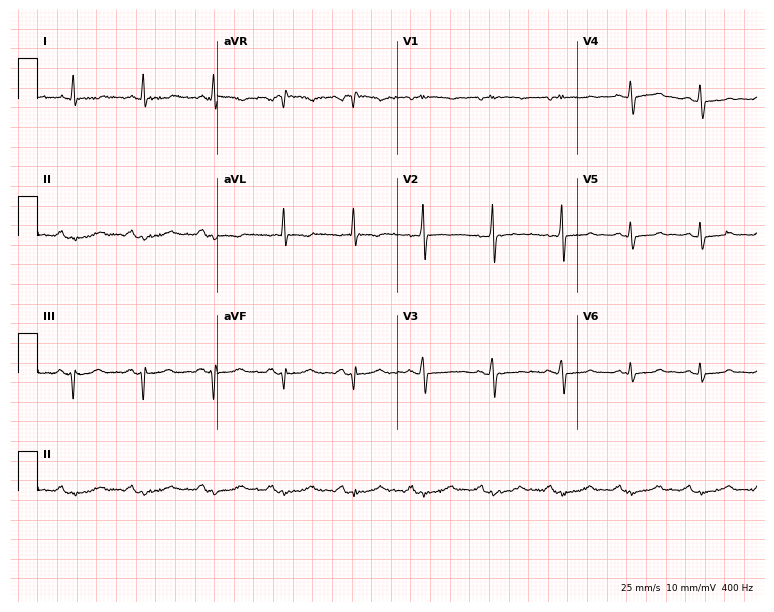
12-lead ECG (7.3-second recording at 400 Hz) from a 62-year-old woman. Screened for six findings — first-degree AV block, right bundle branch block, left bundle branch block, sinus bradycardia, atrial fibrillation, sinus tachycardia — none is recorded. Other findings, if any, are not listed.